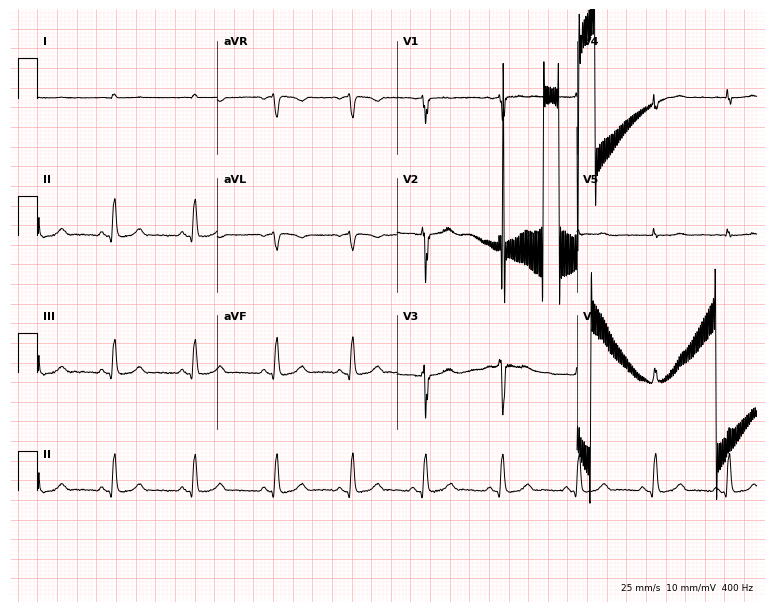
12-lead ECG from a female, 23 years old. Screened for six findings — first-degree AV block, right bundle branch block (RBBB), left bundle branch block (LBBB), sinus bradycardia, atrial fibrillation (AF), sinus tachycardia — none is recorded.